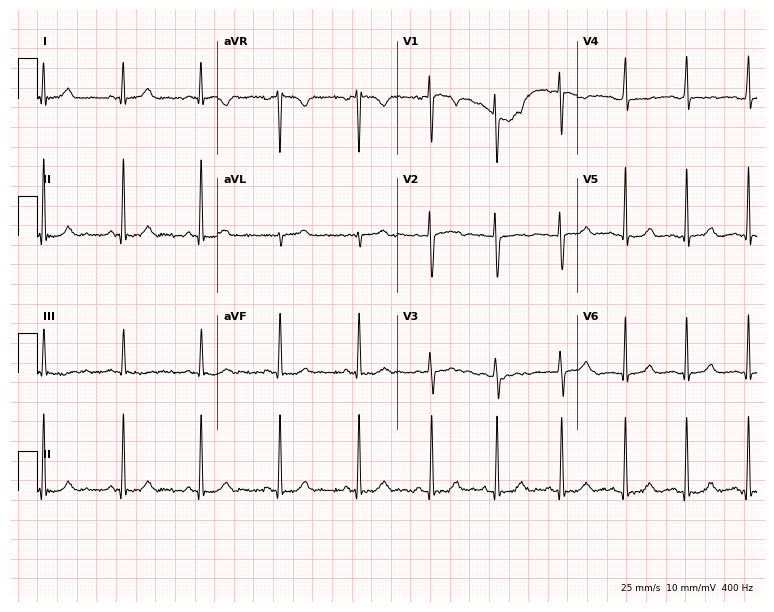
ECG — a 24-year-old woman. Screened for six findings — first-degree AV block, right bundle branch block, left bundle branch block, sinus bradycardia, atrial fibrillation, sinus tachycardia — none is recorded. Findings outside these six are not listed.